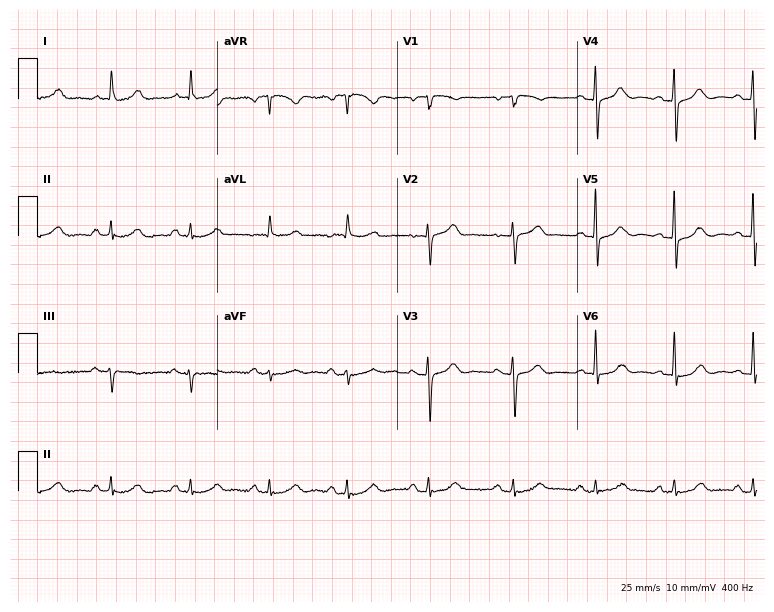
ECG (7.3-second recording at 400 Hz) — a female, 74 years old. Labelled as a normal ECG.